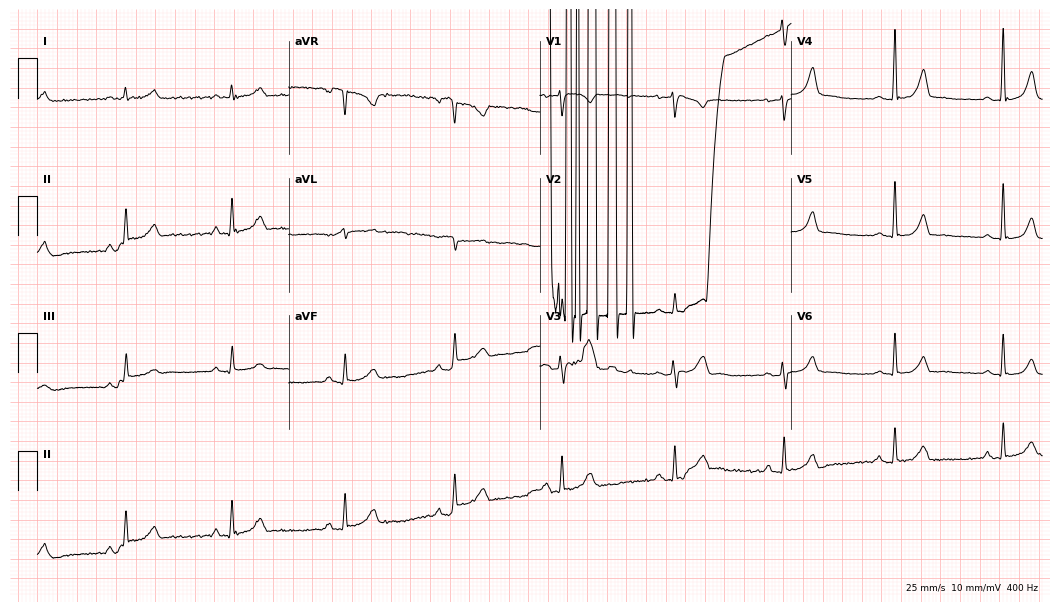
ECG (10.2-second recording at 400 Hz) — a woman, 44 years old. Labelled as a normal ECG.